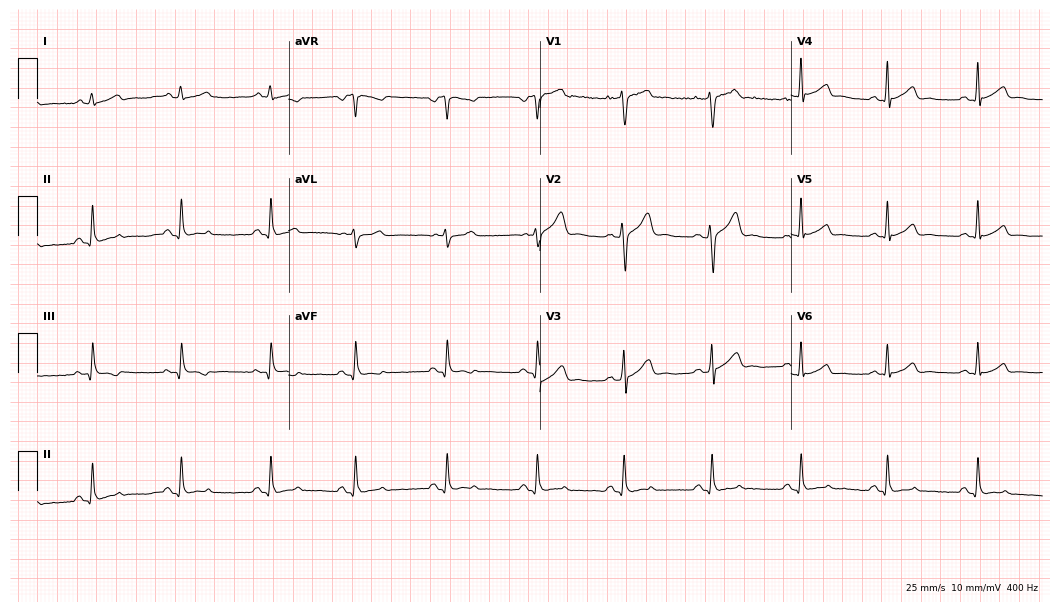
Resting 12-lead electrocardiogram. Patient: a man, 35 years old. None of these six findings is recorded: first-degree AV block, right bundle branch block, left bundle branch block, sinus bradycardia, atrial fibrillation, sinus tachycardia.